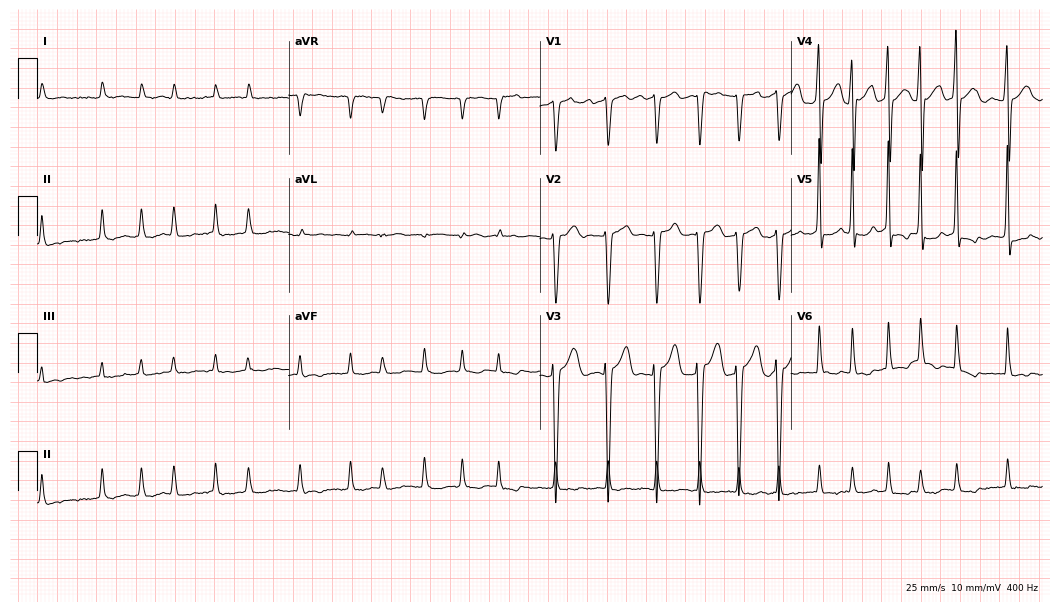
ECG — a male, 69 years old. Findings include atrial fibrillation (AF).